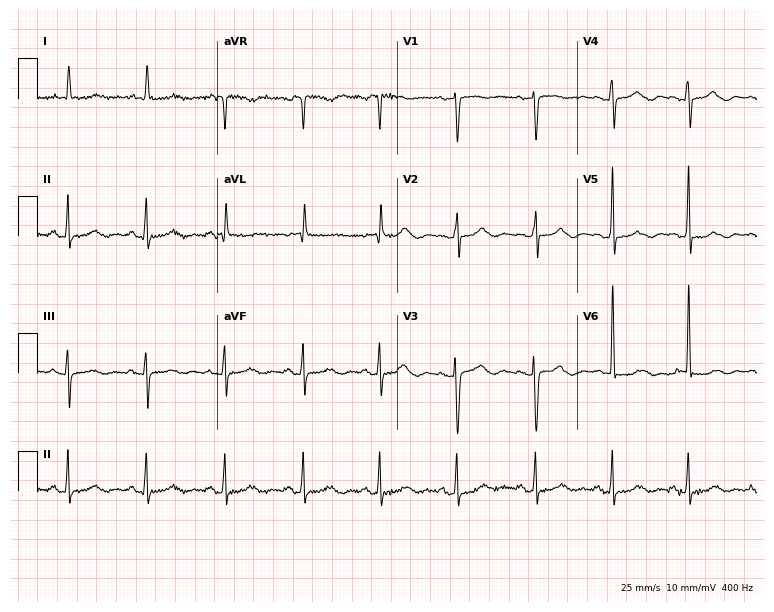
Standard 12-lead ECG recorded from an 86-year-old woman. None of these six findings is recorded: first-degree AV block, right bundle branch block, left bundle branch block, sinus bradycardia, atrial fibrillation, sinus tachycardia.